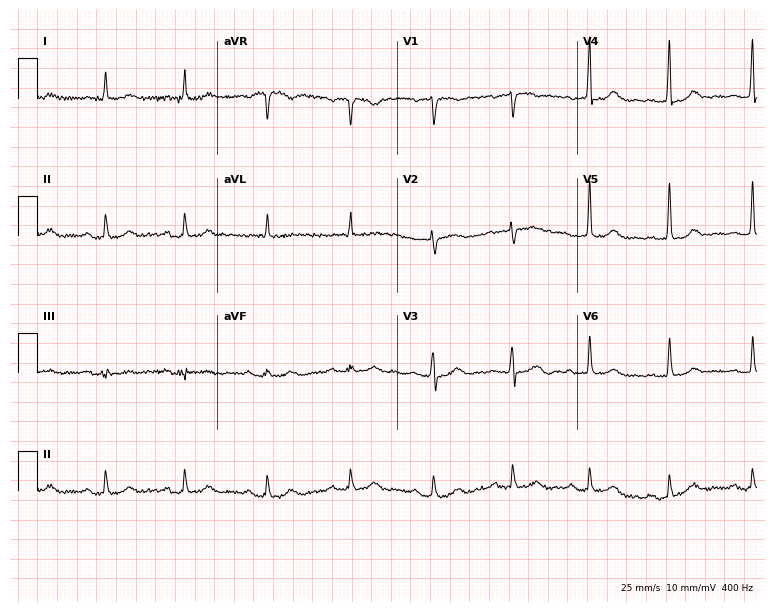
Standard 12-lead ECG recorded from a male, 53 years old (7.3-second recording at 400 Hz). None of these six findings is recorded: first-degree AV block, right bundle branch block (RBBB), left bundle branch block (LBBB), sinus bradycardia, atrial fibrillation (AF), sinus tachycardia.